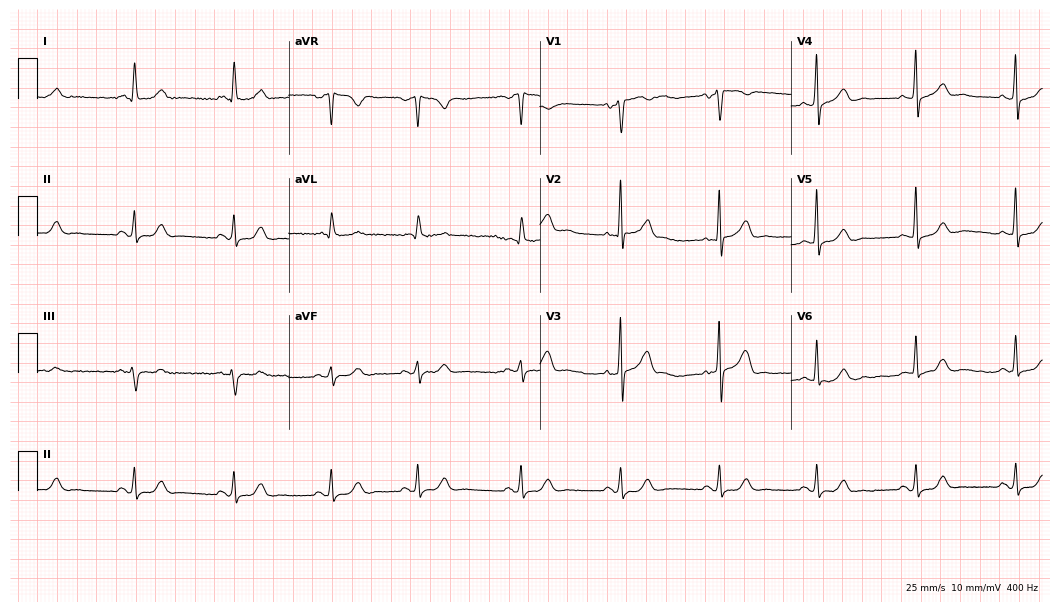
12-lead ECG (10.2-second recording at 400 Hz) from a man, 63 years old. Labelled as a normal ECG.